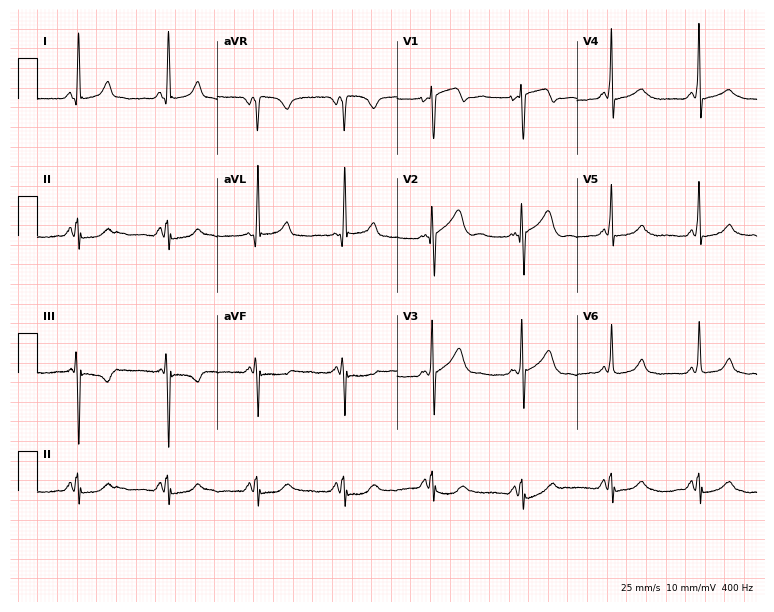
Standard 12-lead ECG recorded from a female patient, 48 years old (7.3-second recording at 400 Hz). Read as a normal ECG.